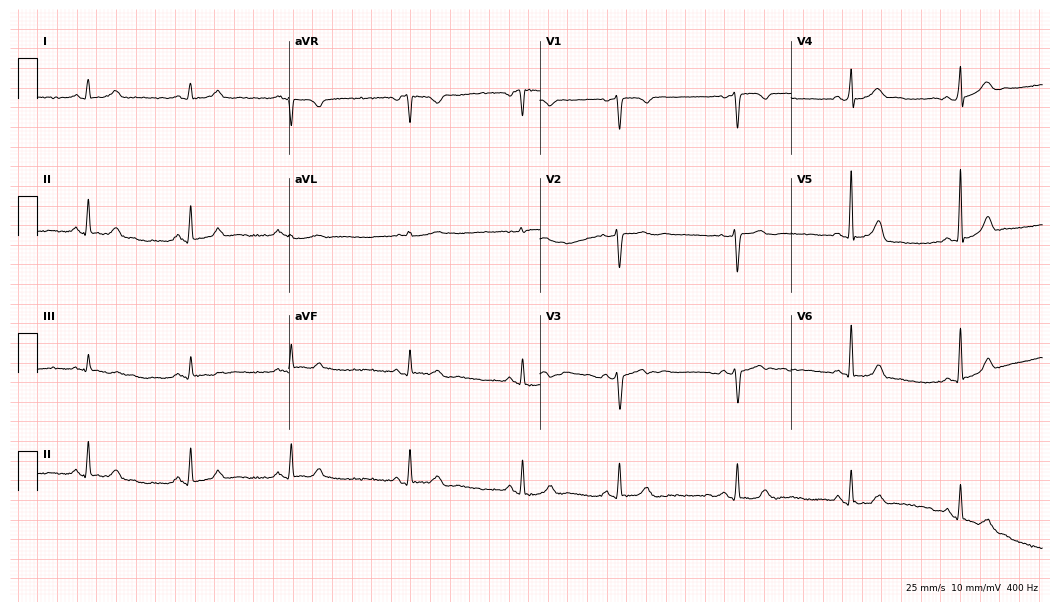
12-lead ECG from a woman, 26 years old (10.2-second recording at 400 Hz). No first-degree AV block, right bundle branch block, left bundle branch block, sinus bradycardia, atrial fibrillation or sinus tachycardia recorded for this tracing.